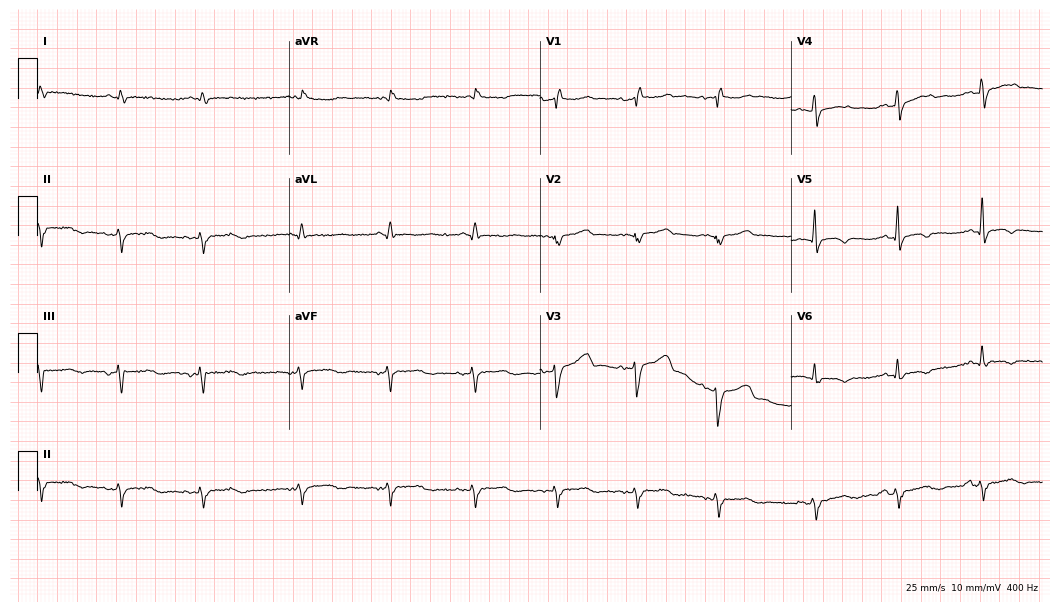
ECG — a male patient, 69 years old. Findings include right bundle branch block (RBBB).